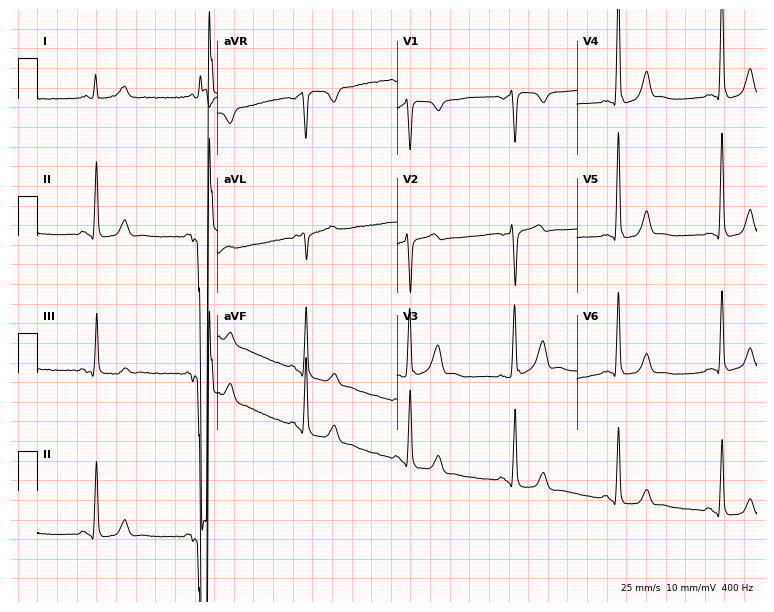
Electrocardiogram, a 51-year-old male. Of the six screened findings (first-degree AV block, right bundle branch block, left bundle branch block, sinus bradycardia, atrial fibrillation, sinus tachycardia), none is recorded. Other findings, if any, are not listed.